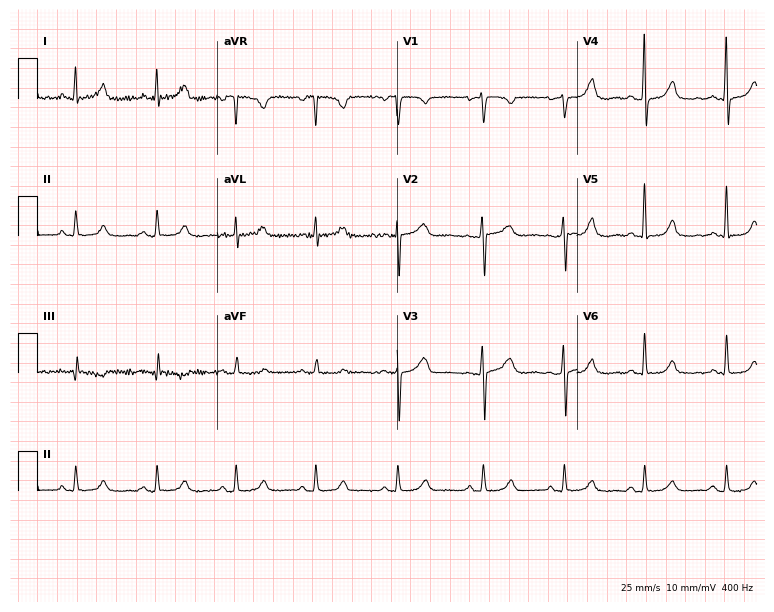
Standard 12-lead ECG recorded from a female patient, 54 years old (7.3-second recording at 400 Hz). Read as a normal ECG.